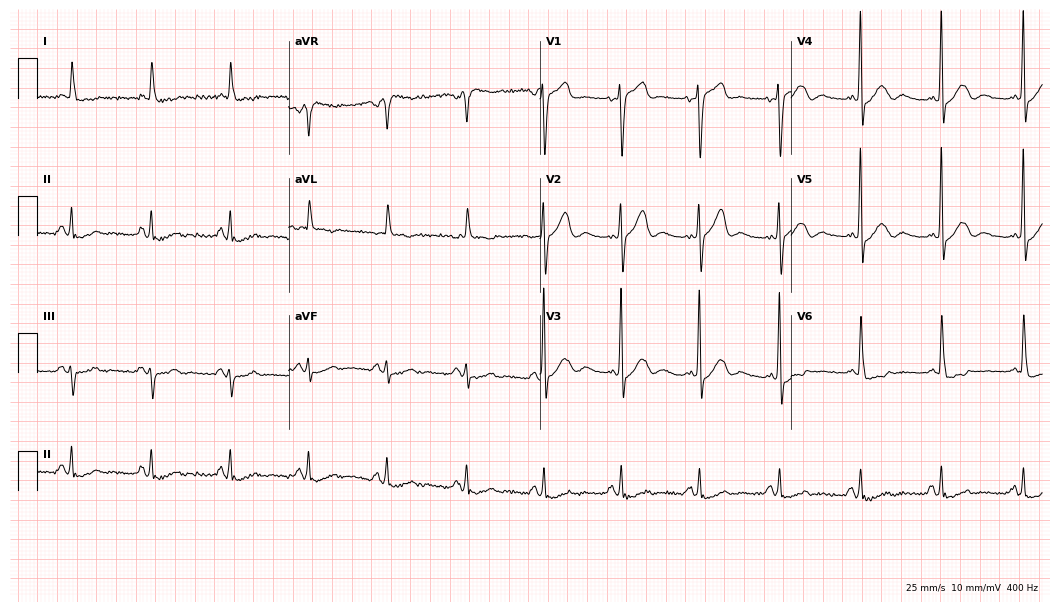
Electrocardiogram (10.2-second recording at 400 Hz), an 81-year-old male patient. Of the six screened findings (first-degree AV block, right bundle branch block (RBBB), left bundle branch block (LBBB), sinus bradycardia, atrial fibrillation (AF), sinus tachycardia), none is recorded.